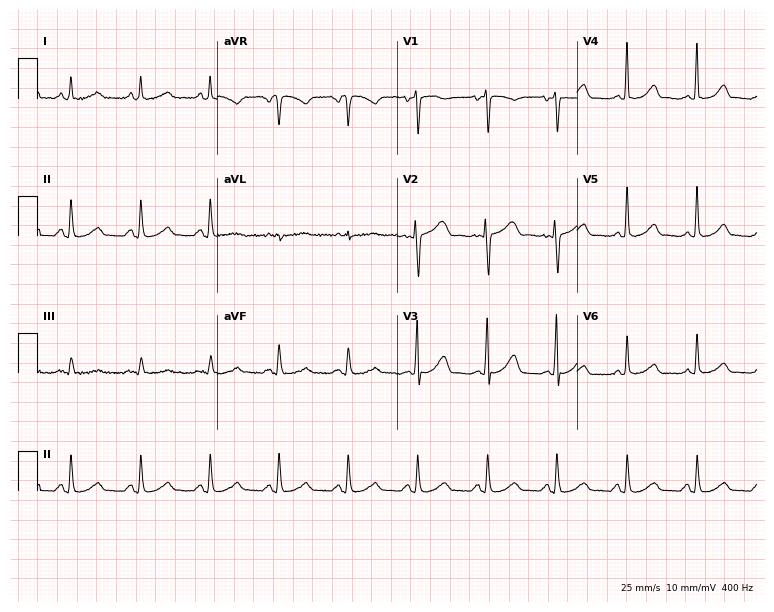
ECG (7.3-second recording at 400 Hz) — a 29-year-old woman. Labelled as a normal ECG.